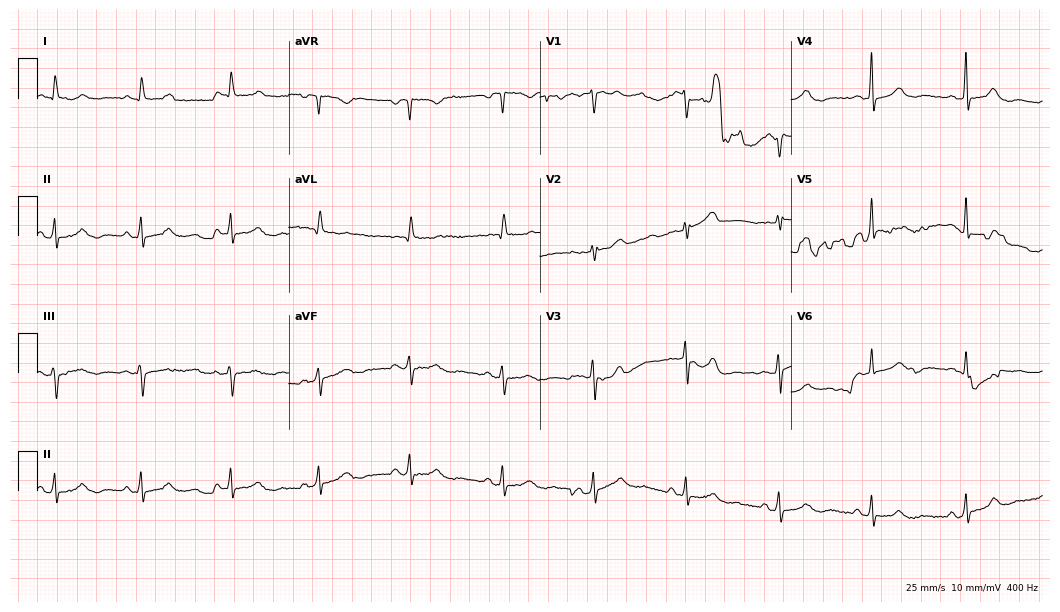
Electrocardiogram, a 62-year-old female. Overall reading on record: normal ECG.